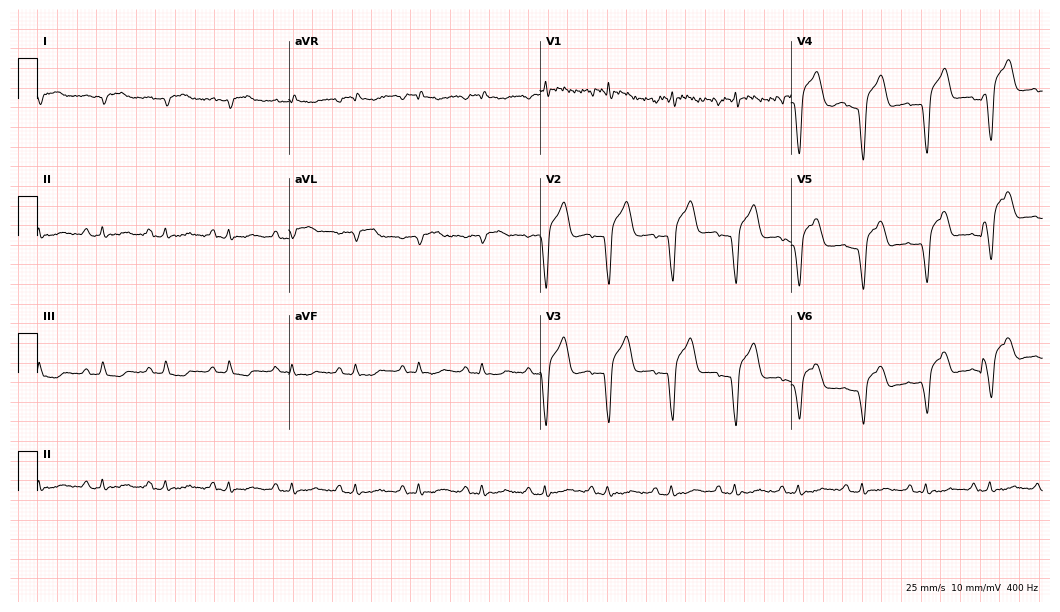
Electrocardiogram (10.2-second recording at 400 Hz), a 72-year-old male. Of the six screened findings (first-degree AV block, right bundle branch block, left bundle branch block, sinus bradycardia, atrial fibrillation, sinus tachycardia), none is recorded.